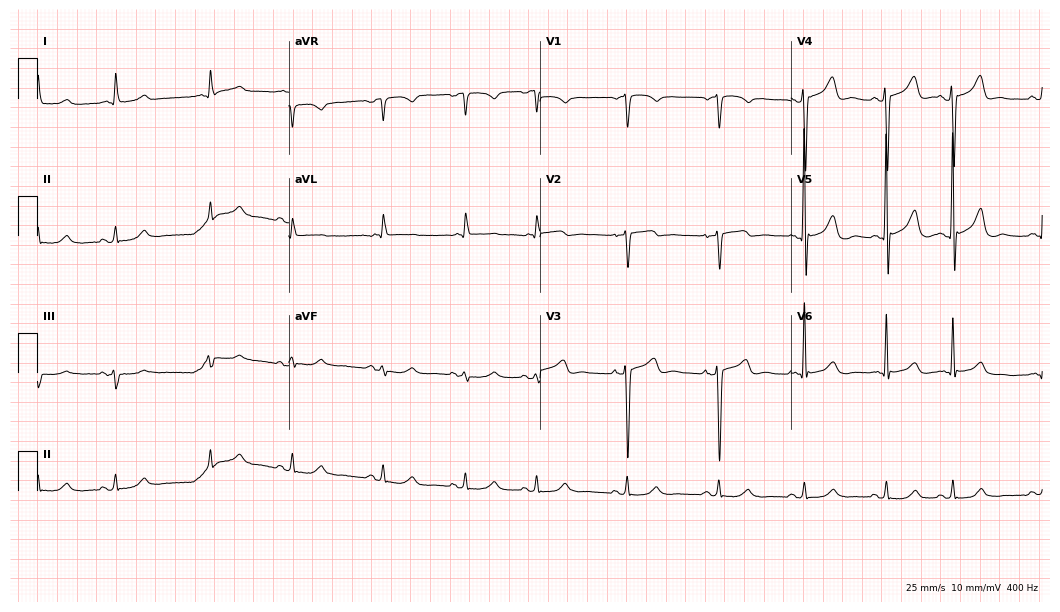
Resting 12-lead electrocardiogram. Patient: an 82-year-old male. None of these six findings is recorded: first-degree AV block, right bundle branch block (RBBB), left bundle branch block (LBBB), sinus bradycardia, atrial fibrillation (AF), sinus tachycardia. Only these six findings were labelled.